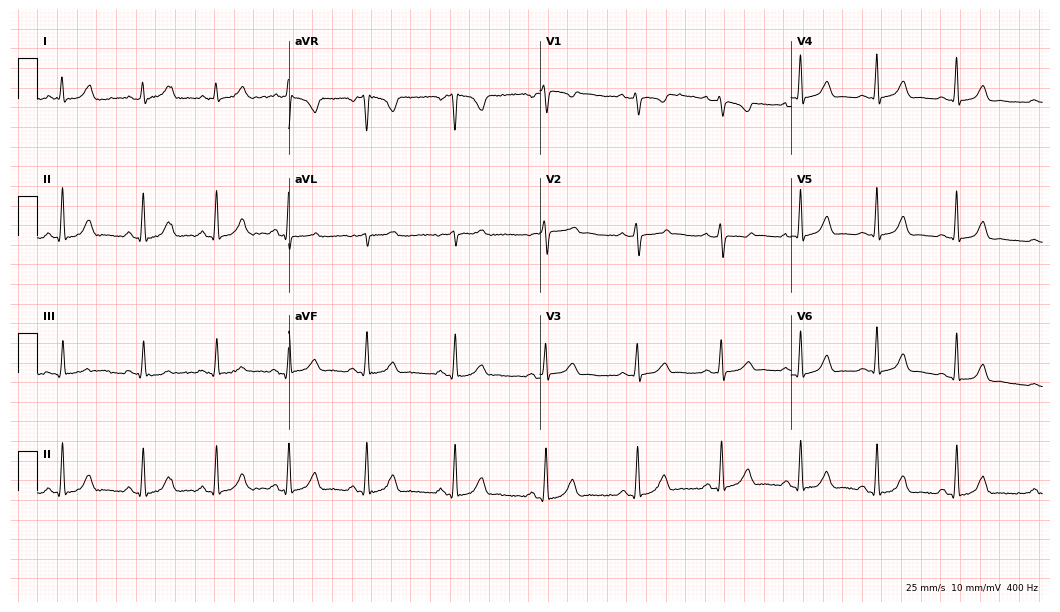
Standard 12-lead ECG recorded from a female, 21 years old. Read as a normal ECG.